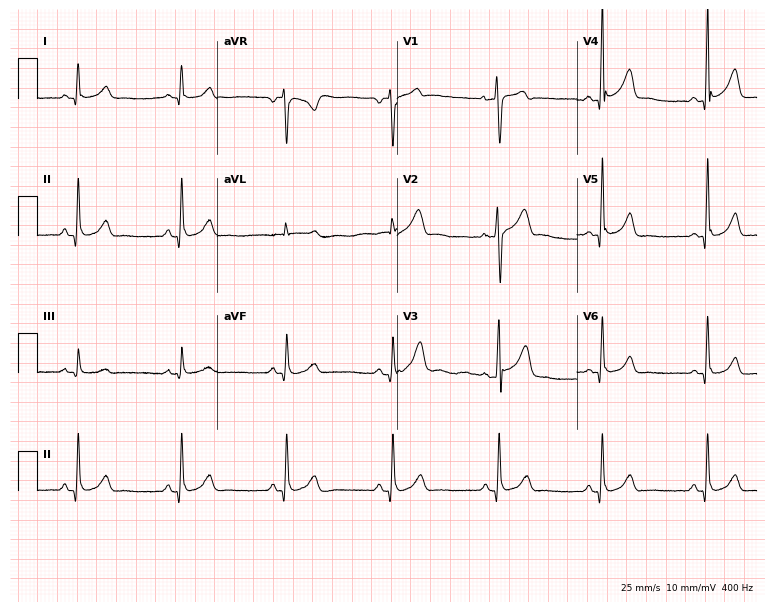
Electrocardiogram (7.3-second recording at 400 Hz), a 55-year-old male patient. Of the six screened findings (first-degree AV block, right bundle branch block, left bundle branch block, sinus bradycardia, atrial fibrillation, sinus tachycardia), none is recorded. Findings outside these six are not listed.